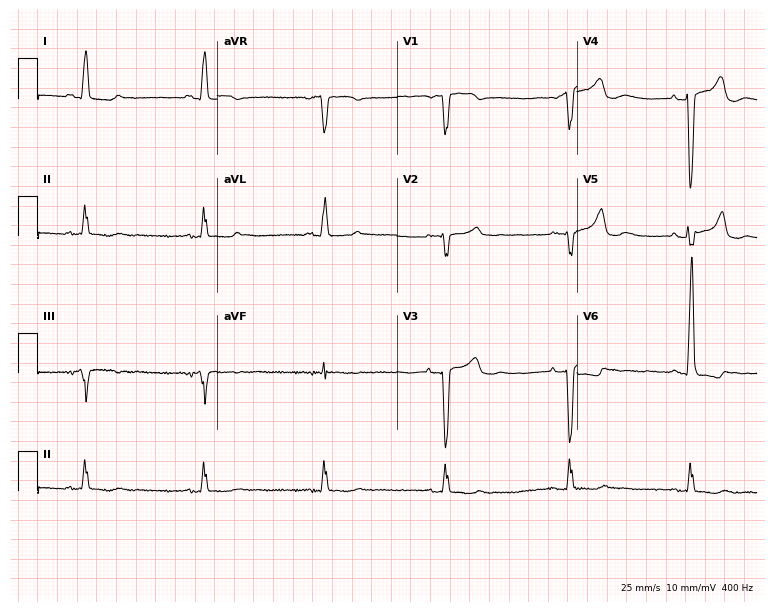
Resting 12-lead electrocardiogram. Patient: a 62-year-old female. None of these six findings is recorded: first-degree AV block, right bundle branch block (RBBB), left bundle branch block (LBBB), sinus bradycardia, atrial fibrillation (AF), sinus tachycardia. Only these six findings were labelled.